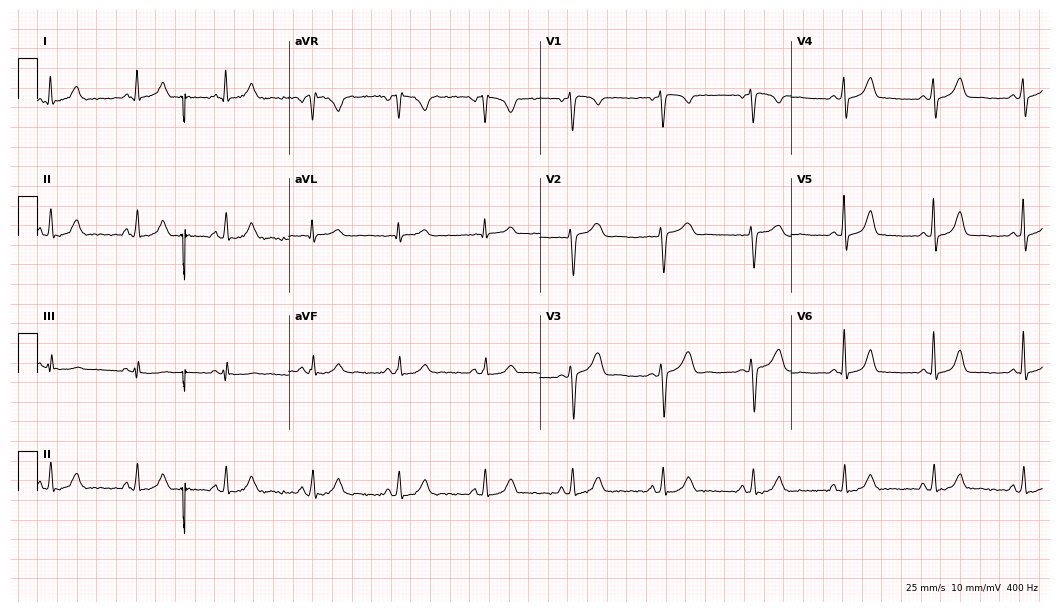
Electrocardiogram, a female patient, 47 years old. Overall reading on record: normal ECG.